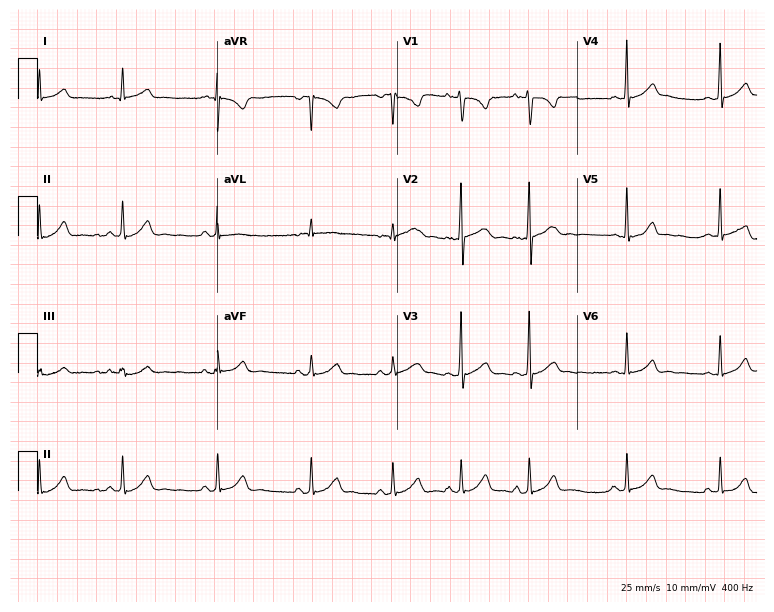
ECG (7.3-second recording at 400 Hz) — a 17-year-old female. Labelled as a normal ECG.